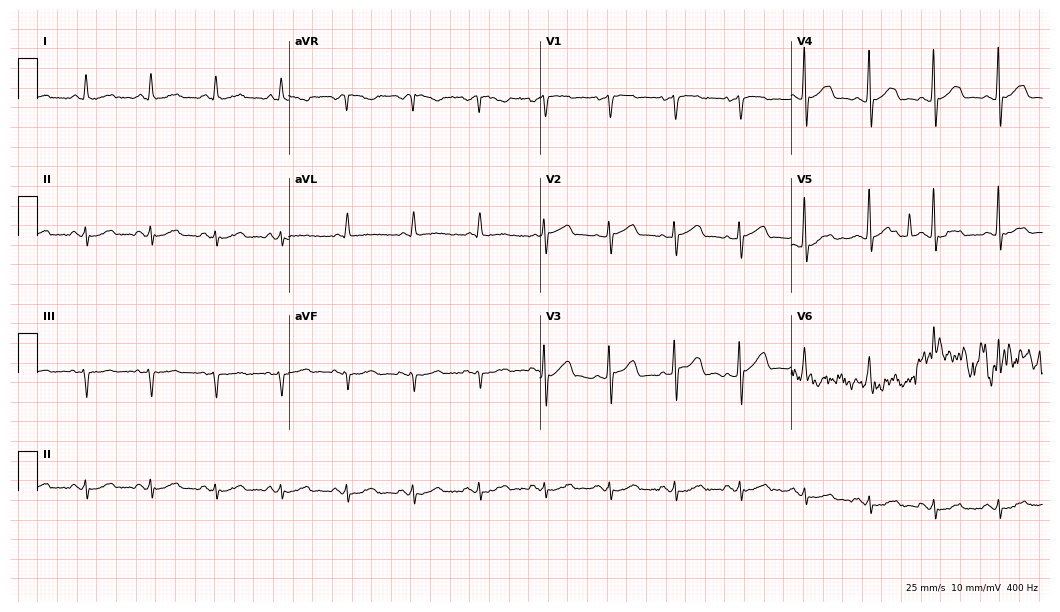
Electrocardiogram (10.2-second recording at 400 Hz), a 69-year-old female. Of the six screened findings (first-degree AV block, right bundle branch block (RBBB), left bundle branch block (LBBB), sinus bradycardia, atrial fibrillation (AF), sinus tachycardia), none is recorded.